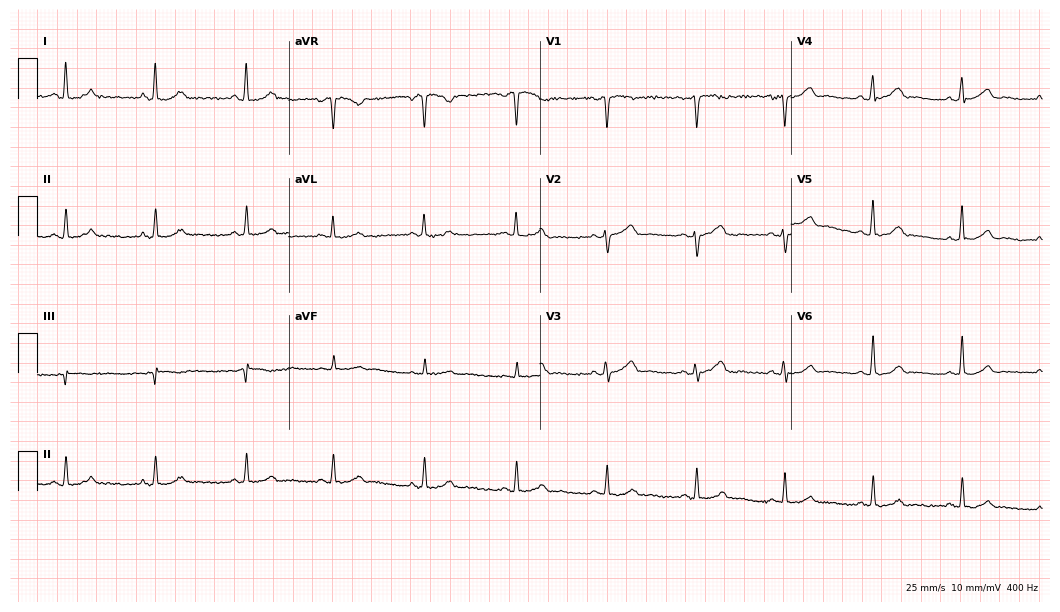
Resting 12-lead electrocardiogram. Patient: a 32-year-old female. Read as a normal ECG.